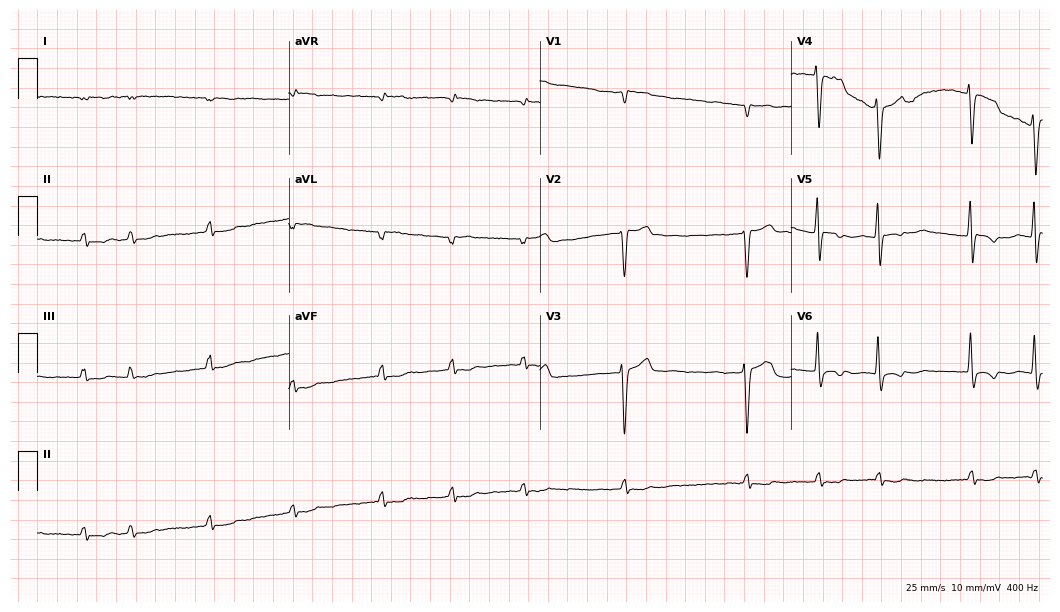
12-lead ECG (10.2-second recording at 400 Hz) from a 77-year-old woman. Screened for six findings — first-degree AV block, right bundle branch block, left bundle branch block, sinus bradycardia, atrial fibrillation, sinus tachycardia — none is recorded. Only these six findings were labelled.